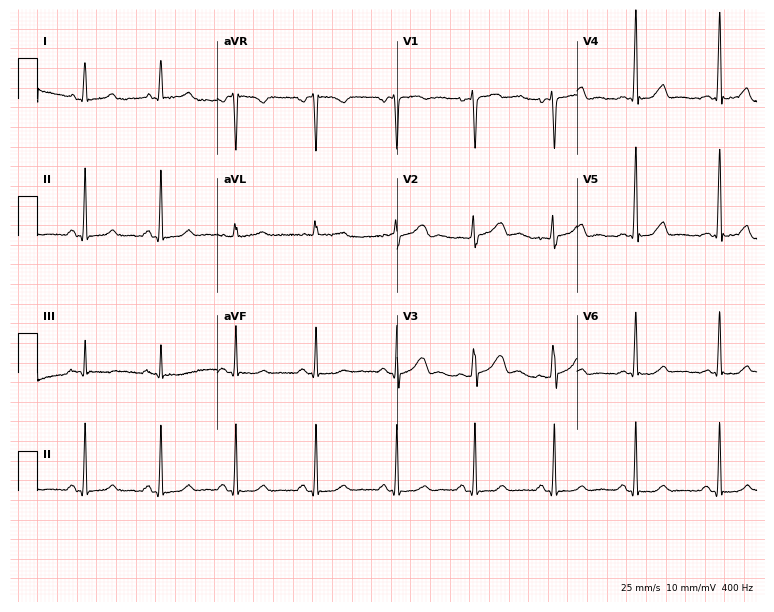
12-lead ECG from a female patient, 41 years old. No first-degree AV block, right bundle branch block, left bundle branch block, sinus bradycardia, atrial fibrillation or sinus tachycardia recorded for this tracing.